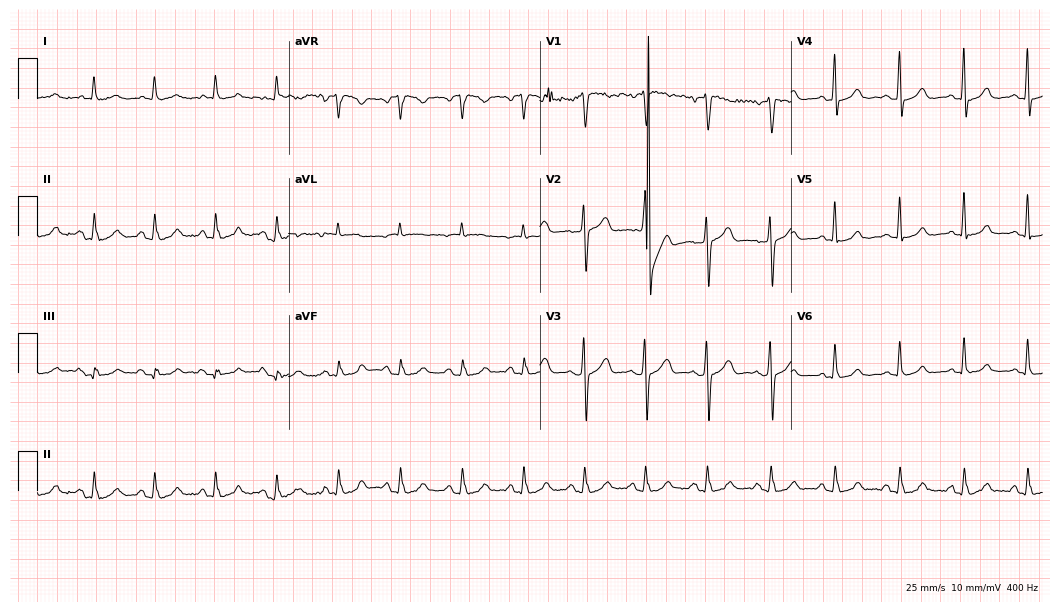
12-lead ECG (10.2-second recording at 400 Hz) from a male patient, 60 years old. Labelled as a normal ECG.